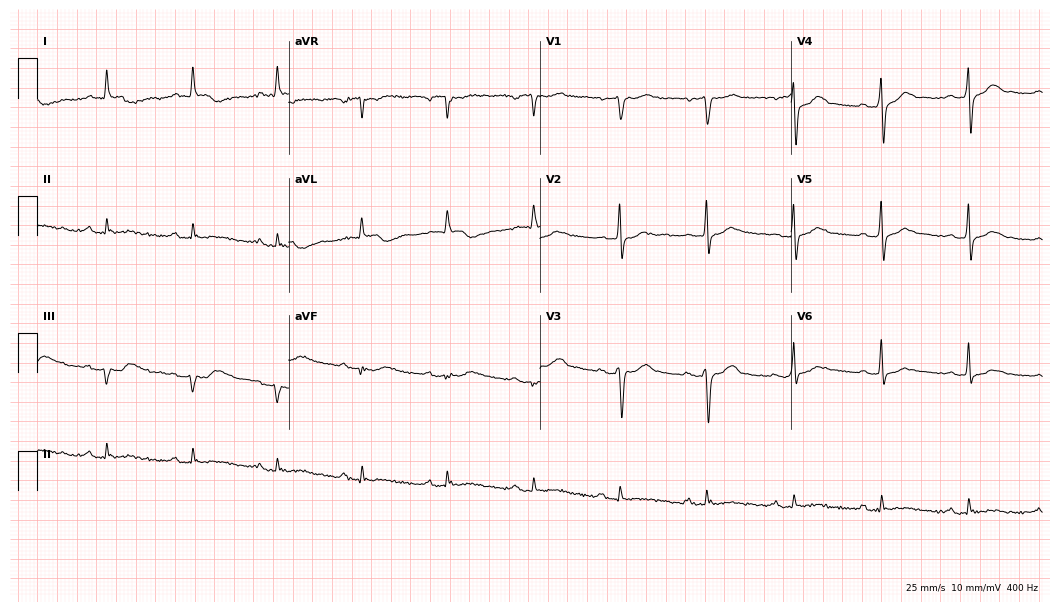
Electrocardiogram (10.2-second recording at 400 Hz), a 63-year-old male patient. Of the six screened findings (first-degree AV block, right bundle branch block, left bundle branch block, sinus bradycardia, atrial fibrillation, sinus tachycardia), none is recorded.